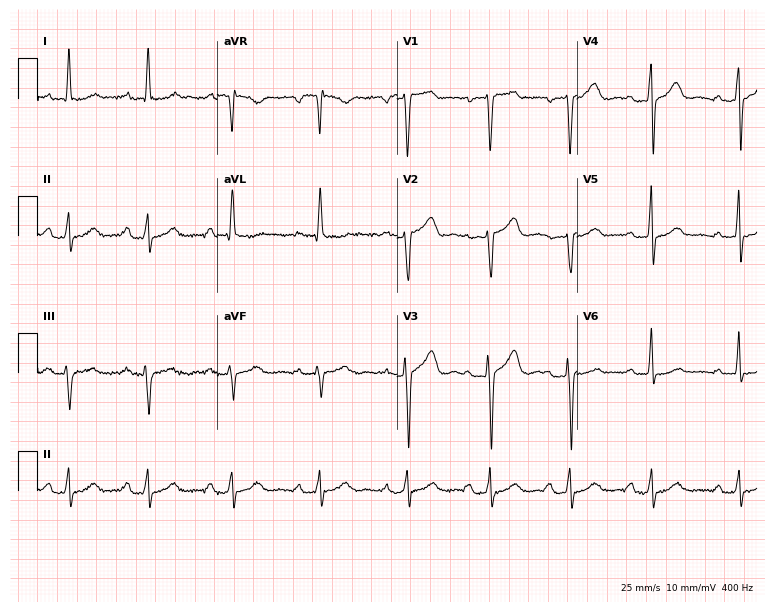
Electrocardiogram, a female, 38 years old. Interpretation includes first-degree AV block.